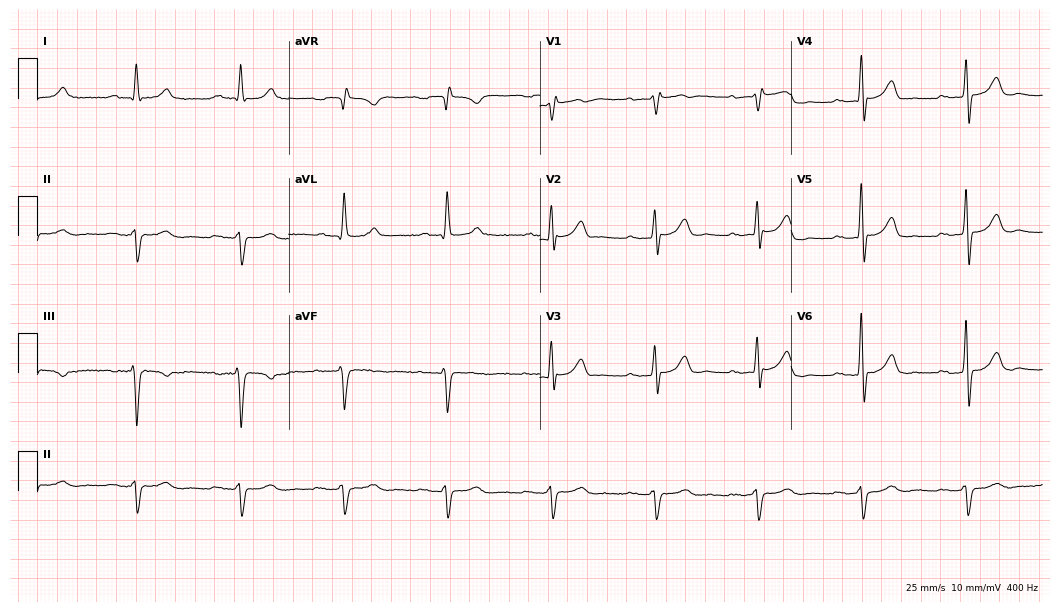
Standard 12-lead ECG recorded from an 80-year-old male (10.2-second recording at 400 Hz). The tracing shows first-degree AV block, right bundle branch block.